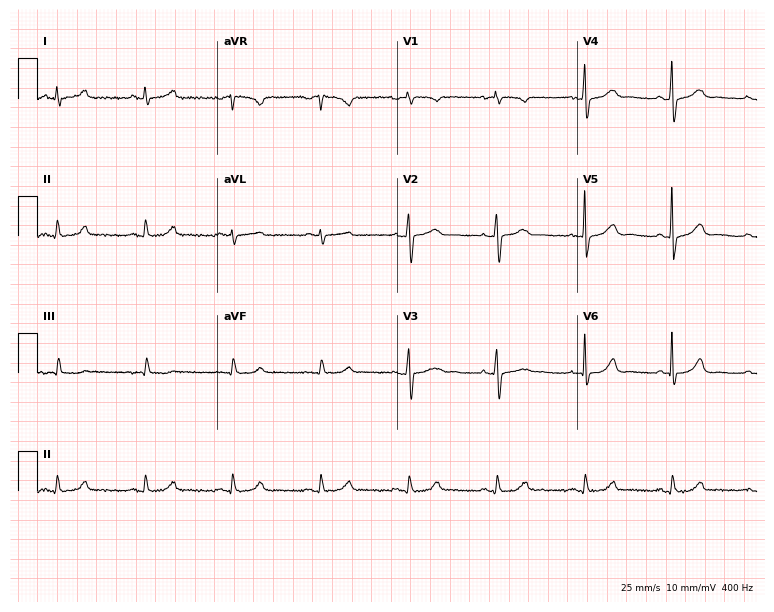
12-lead ECG from a 58-year-old female patient. No first-degree AV block, right bundle branch block (RBBB), left bundle branch block (LBBB), sinus bradycardia, atrial fibrillation (AF) or sinus tachycardia recorded for this tracing. Only these six findings were labelled.